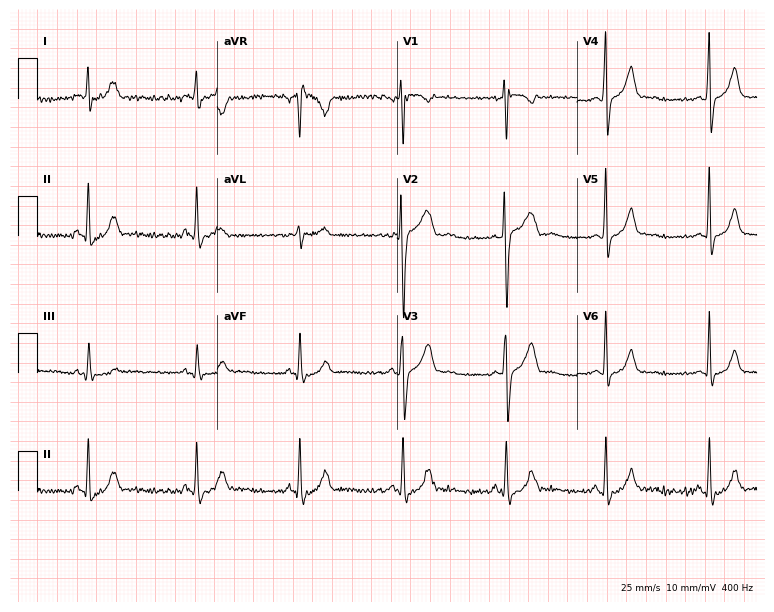
ECG — a 29-year-old male. Labelled as a normal ECG.